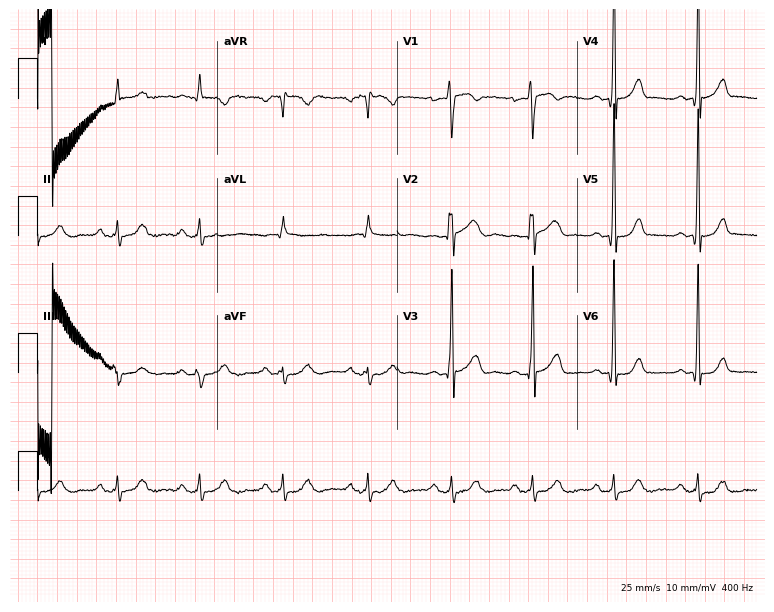
12-lead ECG from a 44-year-old man. No first-degree AV block, right bundle branch block, left bundle branch block, sinus bradycardia, atrial fibrillation or sinus tachycardia recorded for this tracing.